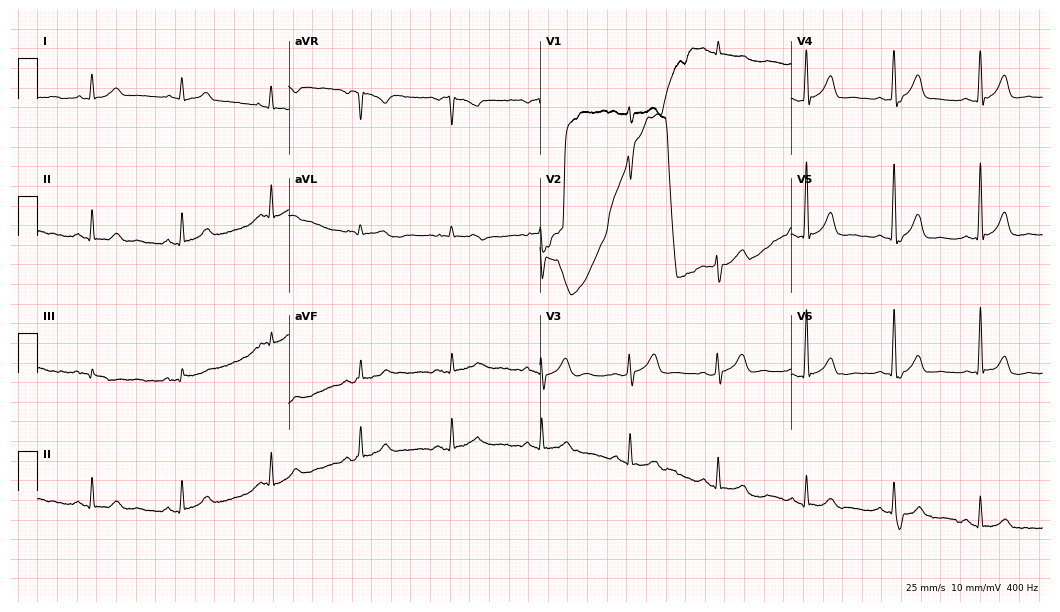
12-lead ECG from a man, 62 years old. No first-degree AV block, right bundle branch block (RBBB), left bundle branch block (LBBB), sinus bradycardia, atrial fibrillation (AF) or sinus tachycardia recorded for this tracing. Other findings, if any, are not listed.